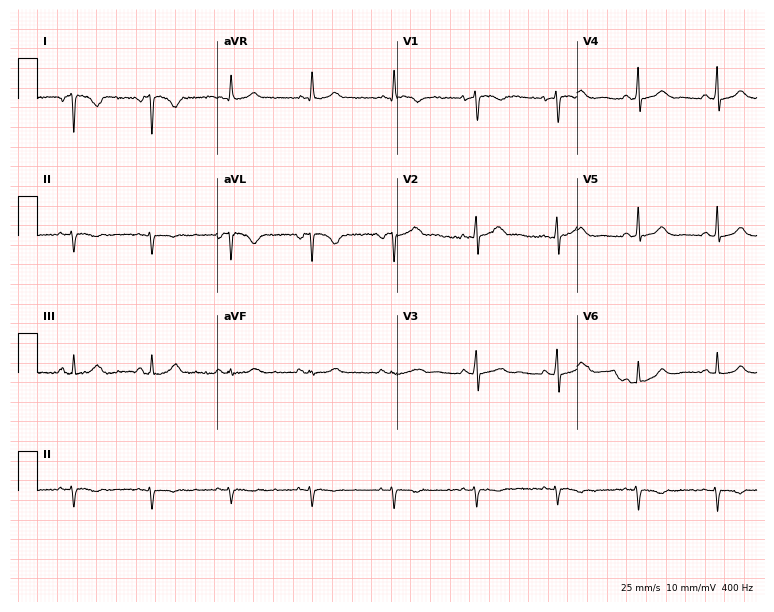
Electrocardiogram, a 43-year-old woman. Of the six screened findings (first-degree AV block, right bundle branch block (RBBB), left bundle branch block (LBBB), sinus bradycardia, atrial fibrillation (AF), sinus tachycardia), none is recorded. Only these six findings were labelled.